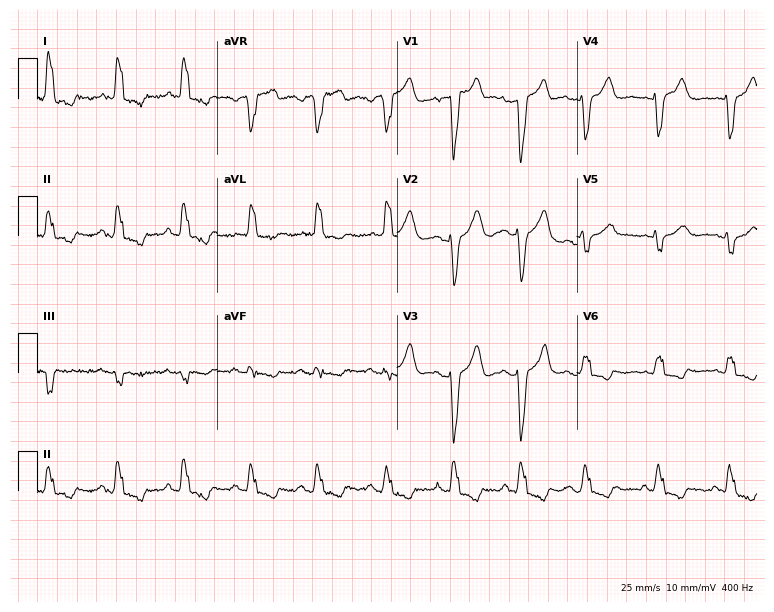
Electrocardiogram, a female, 78 years old. Interpretation includes left bundle branch block.